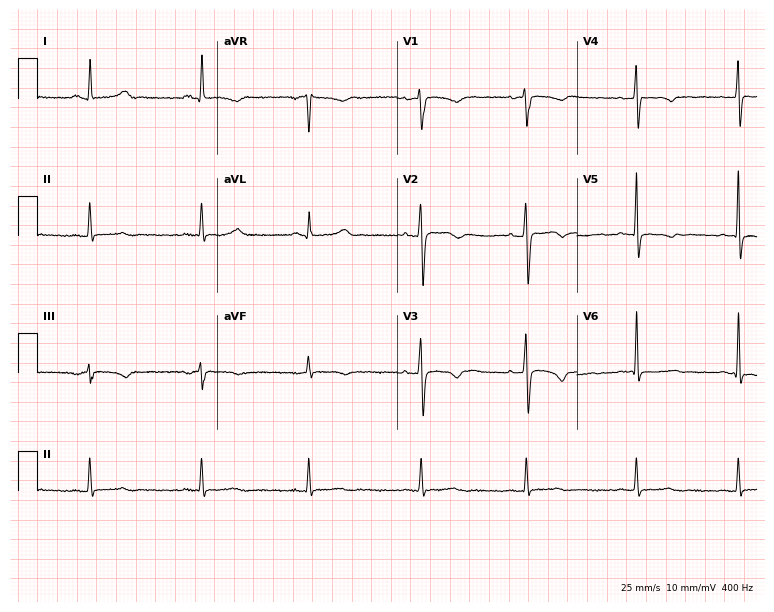
Resting 12-lead electrocardiogram. Patient: a female, 42 years old. None of these six findings is recorded: first-degree AV block, right bundle branch block, left bundle branch block, sinus bradycardia, atrial fibrillation, sinus tachycardia. Only these six findings were labelled.